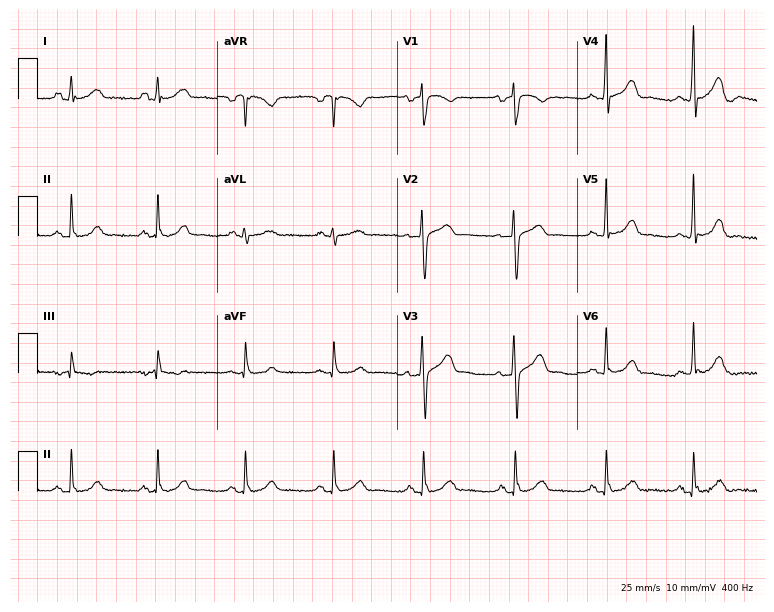
Resting 12-lead electrocardiogram (7.3-second recording at 400 Hz). Patient: a 48-year-old woman. Read as a normal ECG.